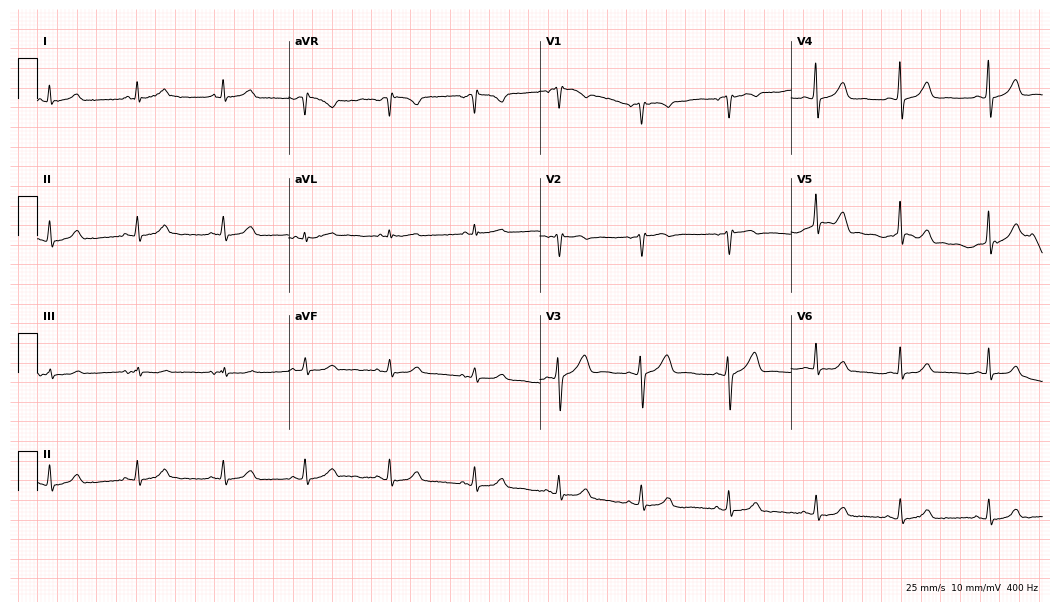
Resting 12-lead electrocardiogram. Patient: a 47-year-old female. Read as a normal ECG.